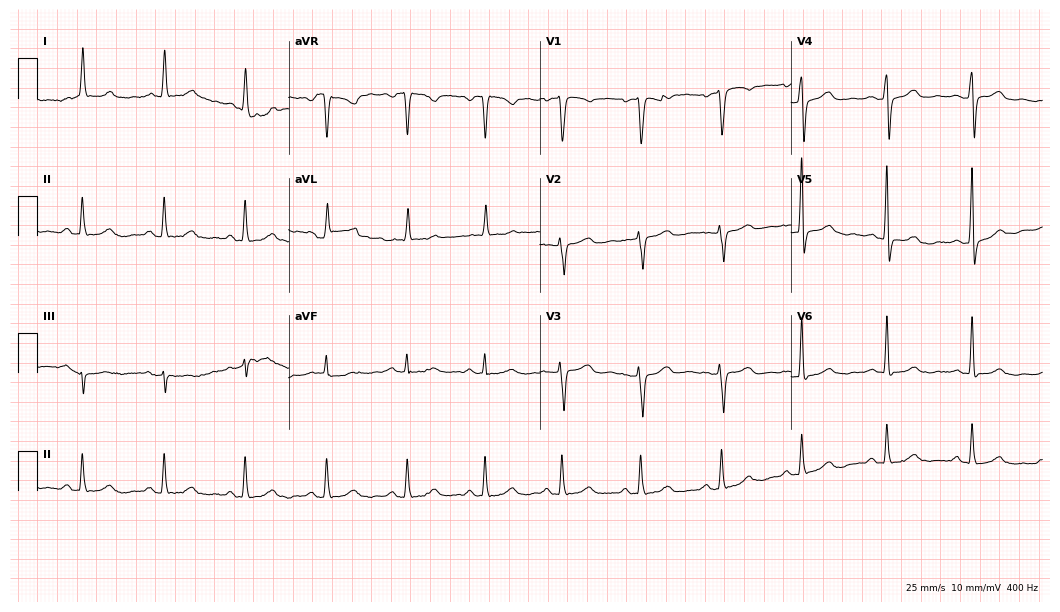
Resting 12-lead electrocardiogram. Patient: a 73-year-old female. Read as a normal ECG.